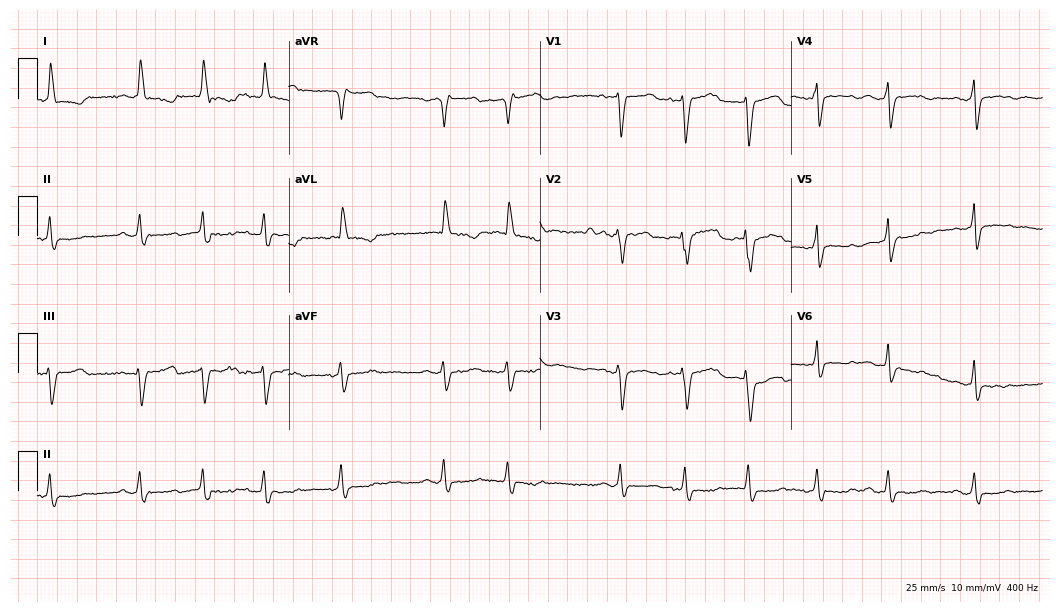
Resting 12-lead electrocardiogram (10.2-second recording at 400 Hz). Patient: a 77-year-old female. None of these six findings is recorded: first-degree AV block, right bundle branch block, left bundle branch block, sinus bradycardia, atrial fibrillation, sinus tachycardia.